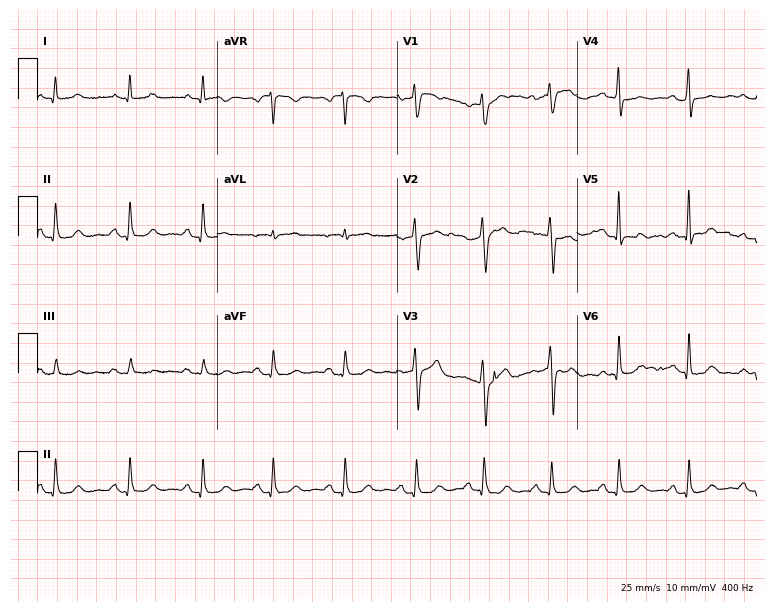
Standard 12-lead ECG recorded from a female patient, 42 years old. None of these six findings is recorded: first-degree AV block, right bundle branch block, left bundle branch block, sinus bradycardia, atrial fibrillation, sinus tachycardia.